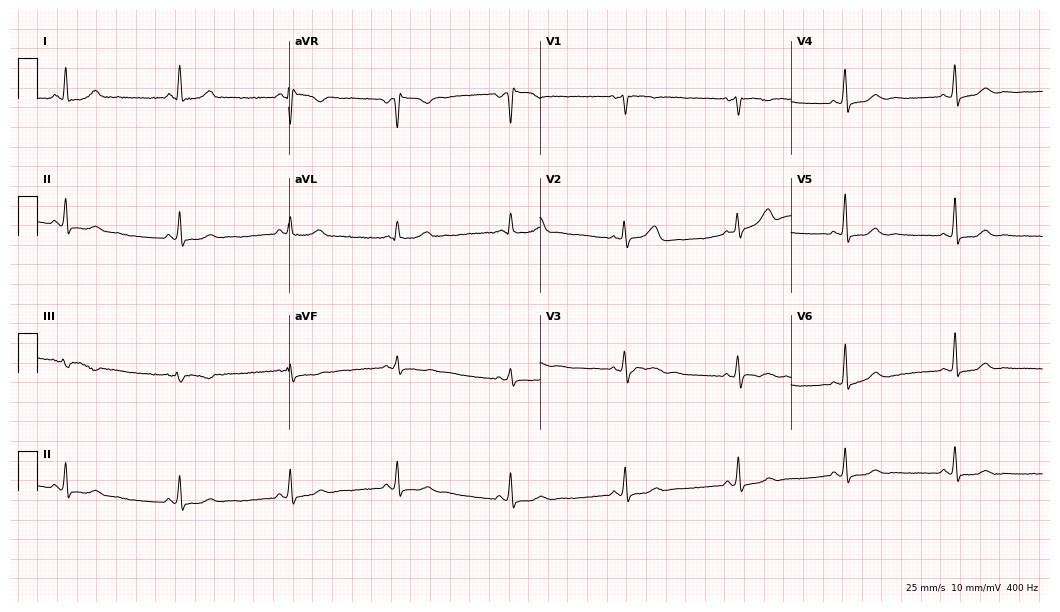
ECG (10.2-second recording at 400 Hz) — a 54-year-old man. Labelled as a normal ECG.